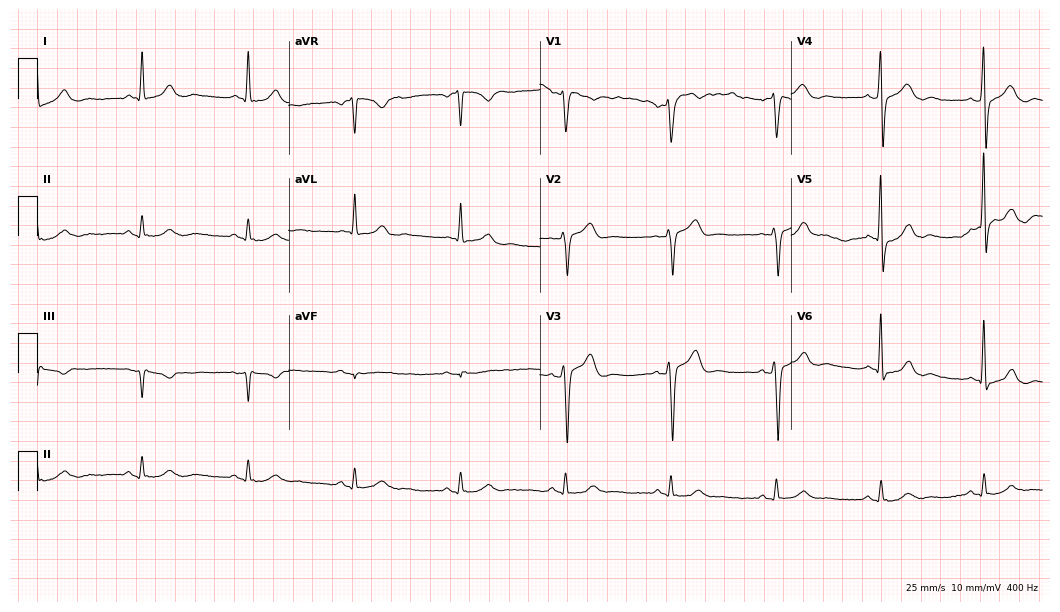
Resting 12-lead electrocardiogram (10.2-second recording at 400 Hz). Patient: a 58-year-old male. None of these six findings is recorded: first-degree AV block, right bundle branch block, left bundle branch block, sinus bradycardia, atrial fibrillation, sinus tachycardia.